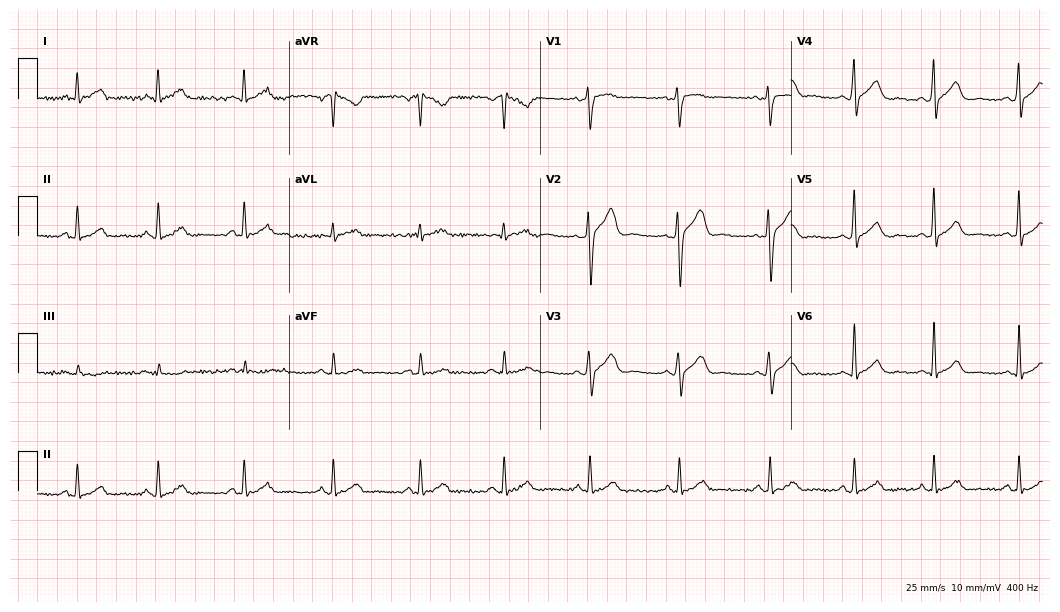
Electrocardiogram (10.2-second recording at 400 Hz), a male patient, 41 years old. Of the six screened findings (first-degree AV block, right bundle branch block (RBBB), left bundle branch block (LBBB), sinus bradycardia, atrial fibrillation (AF), sinus tachycardia), none is recorded. Findings outside these six are not listed.